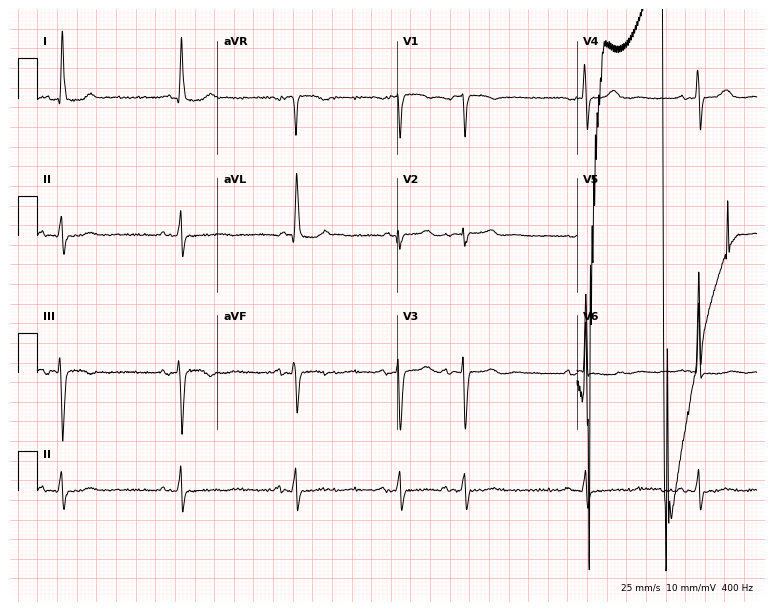
12-lead ECG (7.3-second recording at 400 Hz) from a woman, 87 years old. Screened for six findings — first-degree AV block, right bundle branch block, left bundle branch block, sinus bradycardia, atrial fibrillation, sinus tachycardia — none is recorded. Other findings, if any, are not listed.